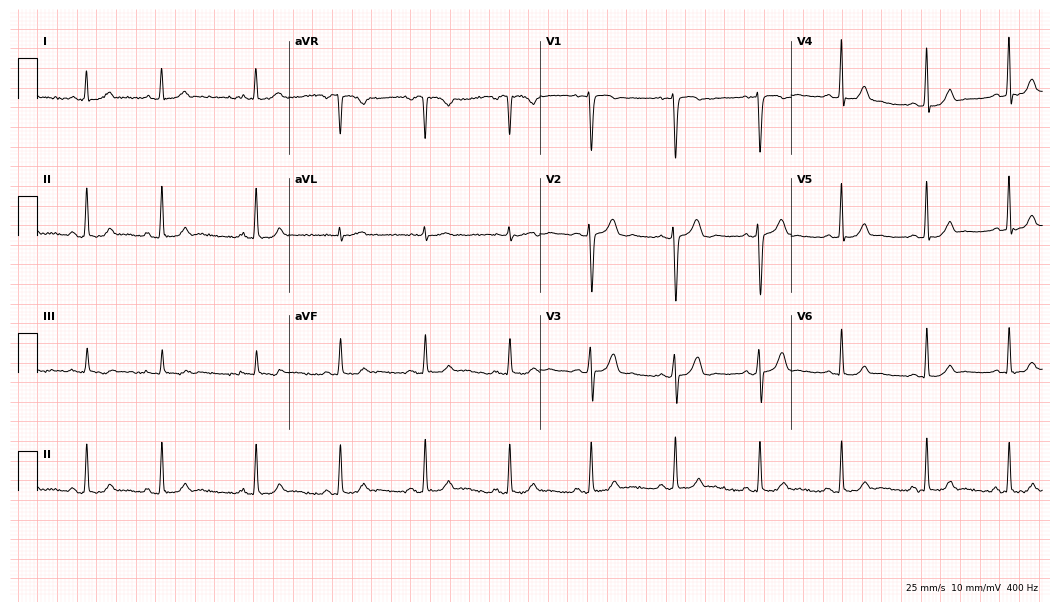
12-lead ECG from an 18-year-old female patient. Labelled as a normal ECG.